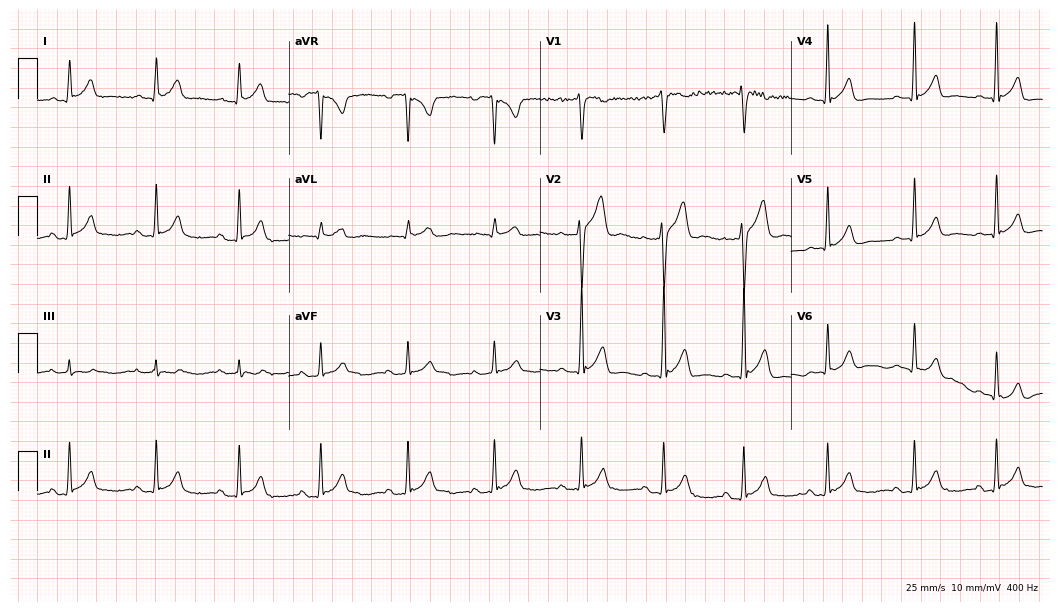
ECG — a 21-year-old man. Screened for six findings — first-degree AV block, right bundle branch block, left bundle branch block, sinus bradycardia, atrial fibrillation, sinus tachycardia — none is recorded. Only these six findings were labelled.